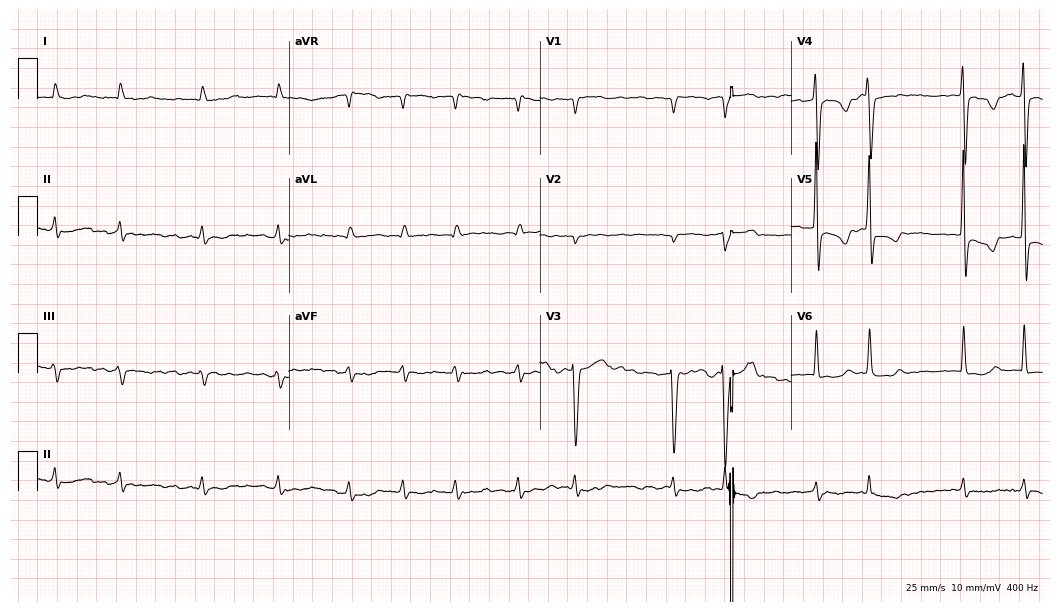
Standard 12-lead ECG recorded from an 80-year-old male patient. None of these six findings is recorded: first-degree AV block, right bundle branch block (RBBB), left bundle branch block (LBBB), sinus bradycardia, atrial fibrillation (AF), sinus tachycardia. Other findings, if any, are not listed.